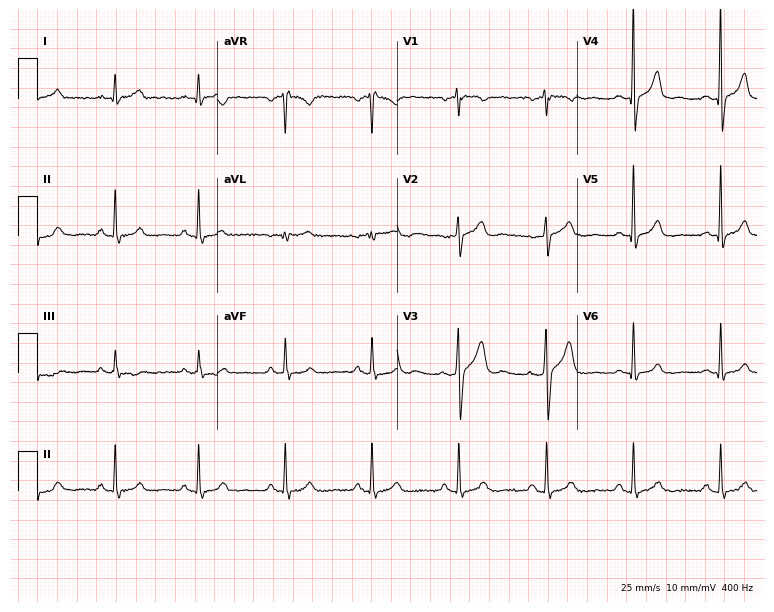
12-lead ECG from a man, 65 years old (7.3-second recording at 400 Hz). Recorded interpretation: within normal limits.